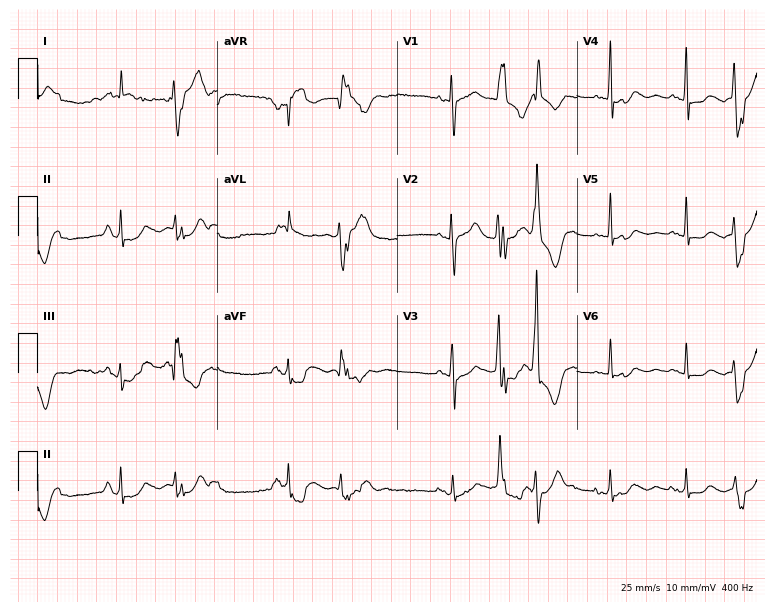
Standard 12-lead ECG recorded from a female, 62 years old. None of these six findings is recorded: first-degree AV block, right bundle branch block (RBBB), left bundle branch block (LBBB), sinus bradycardia, atrial fibrillation (AF), sinus tachycardia. Findings outside these six are not listed.